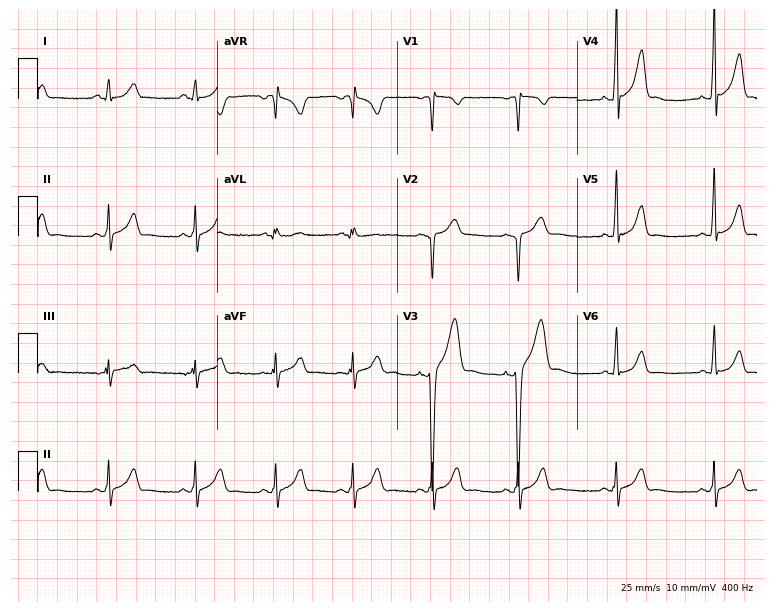
ECG — a man, 20 years old. Screened for six findings — first-degree AV block, right bundle branch block, left bundle branch block, sinus bradycardia, atrial fibrillation, sinus tachycardia — none is recorded. Only these six findings were labelled.